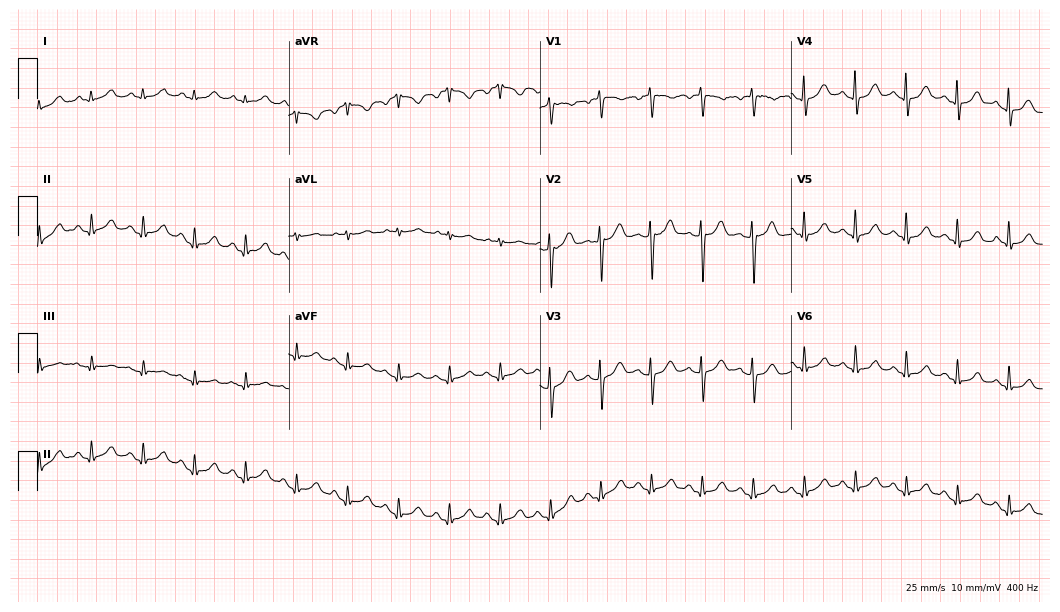
Electrocardiogram, a 49-year-old female. Interpretation includes sinus tachycardia (a sinus rate of 100 beats per minute or more).